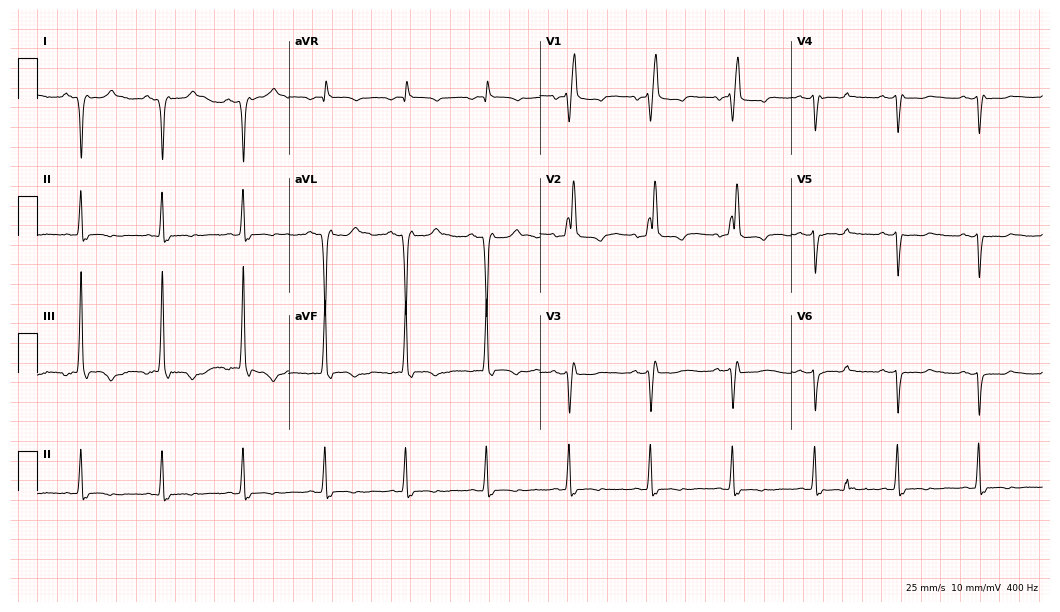
Electrocardiogram, a female, 74 years old. Interpretation includes right bundle branch block.